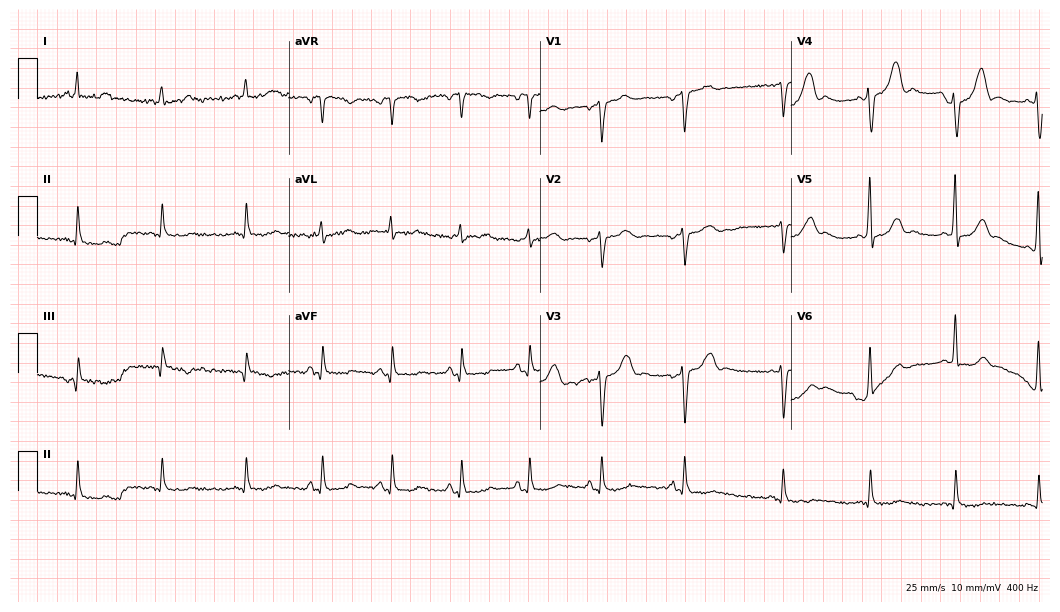
12-lead ECG (10.2-second recording at 400 Hz) from a 59-year-old man. Screened for six findings — first-degree AV block, right bundle branch block (RBBB), left bundle branch block (LBBB), sinus bradycardia, atrial fibrillation (AF), sinus tachycardia — none is recorded. Other findings, if any, are not listed.